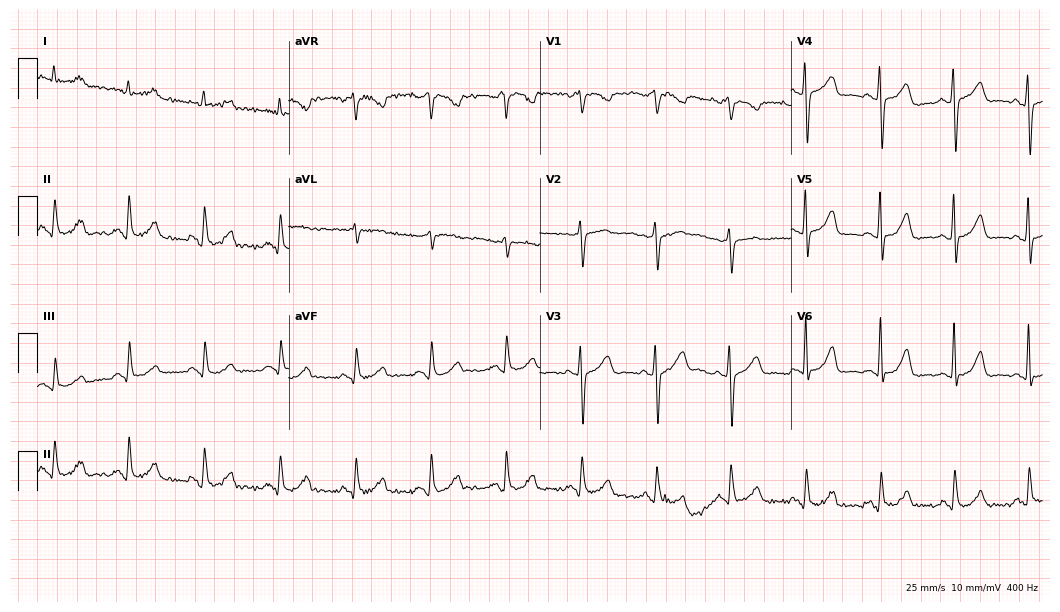
12-lead ECG from a 67-year-old man. Screened for six findings — first-degree AV block, right bundle branch block (RBBB), left bundle branch block (LBBB), sinus bradycardia, atrial fibrillation (AF), sinus tachycardia — none is recorded. Other findings, if any, are not listed.